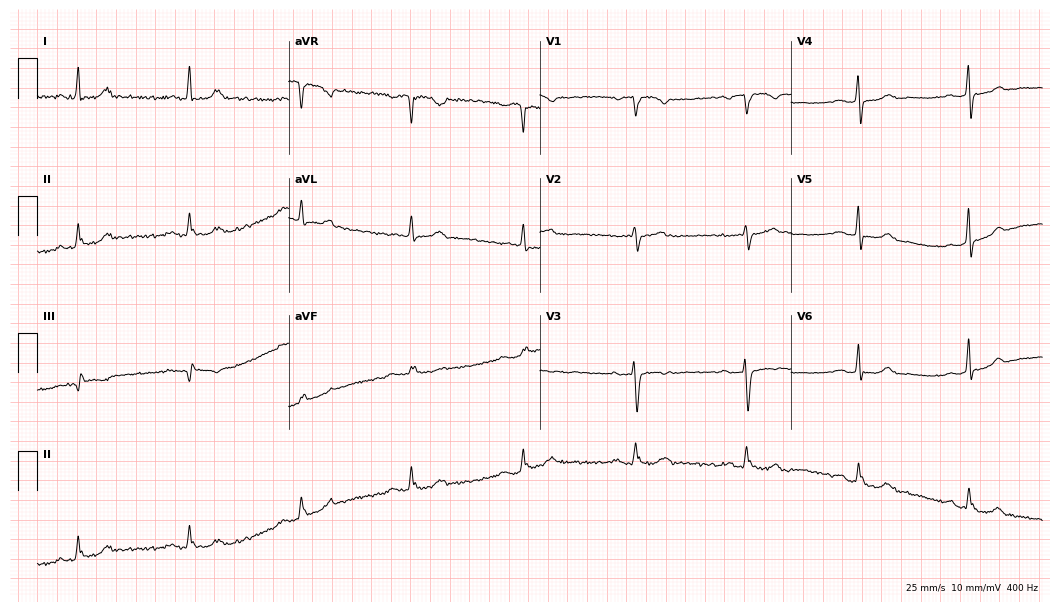
Standard 12-lead ECG recorded from a woman, 85 years old. Read as a normal ECG.